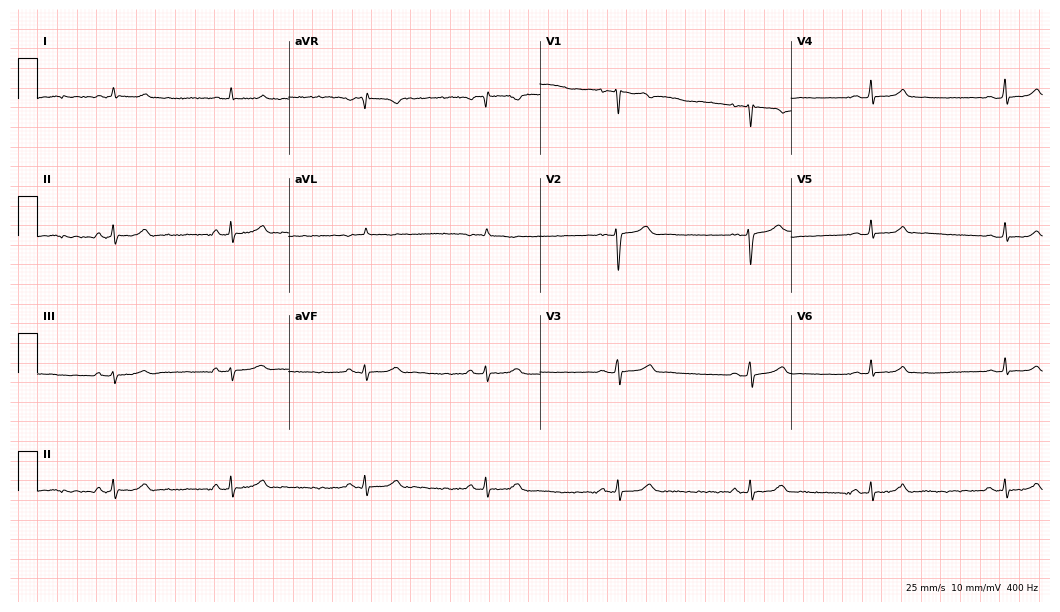
12-lead ECG (10.2-second recording at 400 Hz) from a 27-year-old female. Findings include sinus bradycardia (a sinus rate of 50 beats per minute or less).